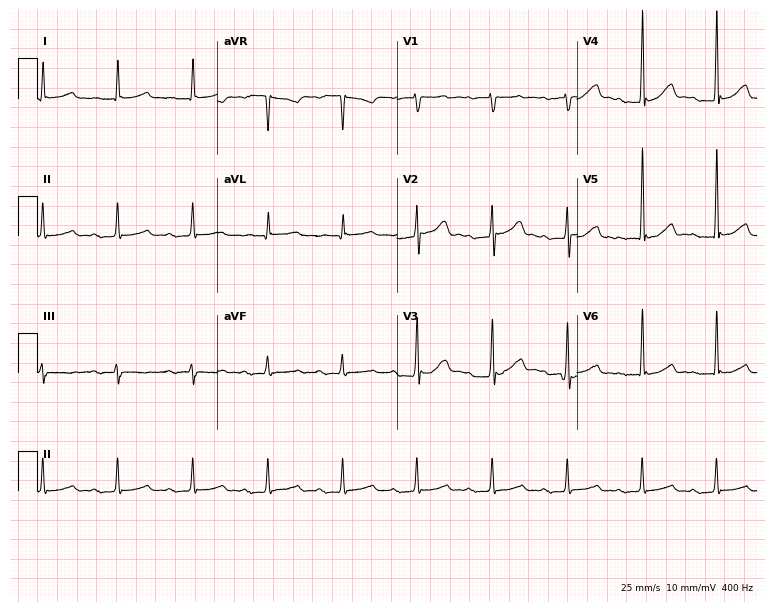
ECG (7.3-second recording at 400 Hz) — a male patient, 72 years old. Findings include first-degree AV block.